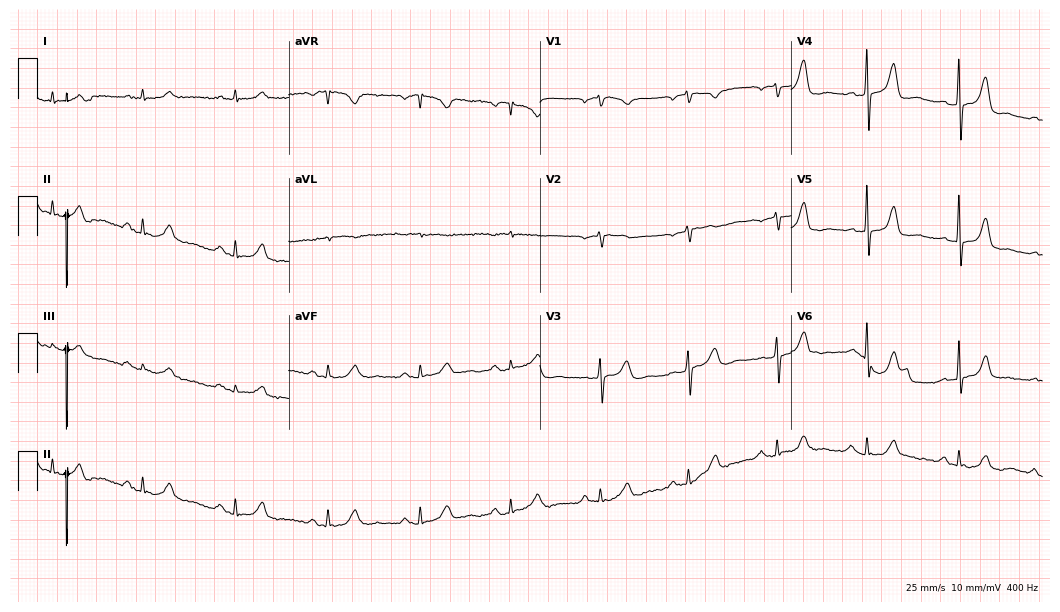
Resting 12-lead electrocardiogram. Patient: a 68-year-old man. Read as a normal ECG.